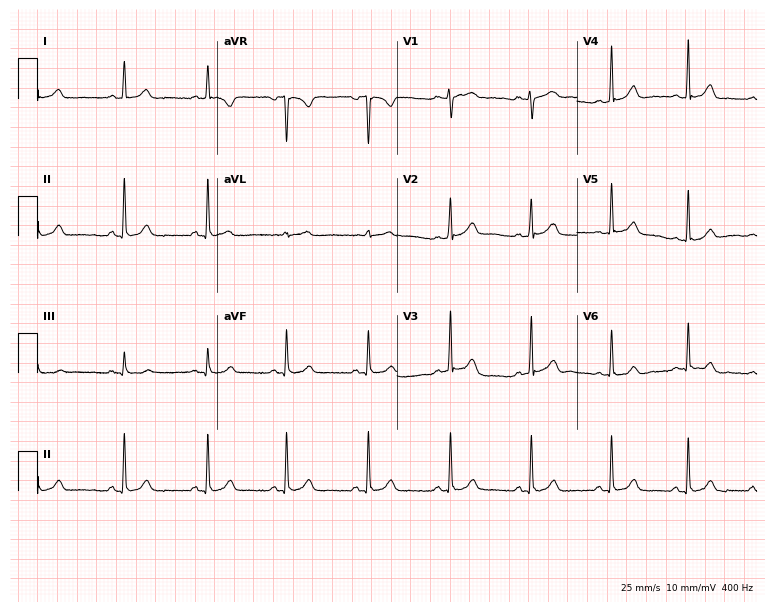
ECG (7.3-second recording at 400 Hz) — a 17-year-old female. Labelled as a normal ECG.